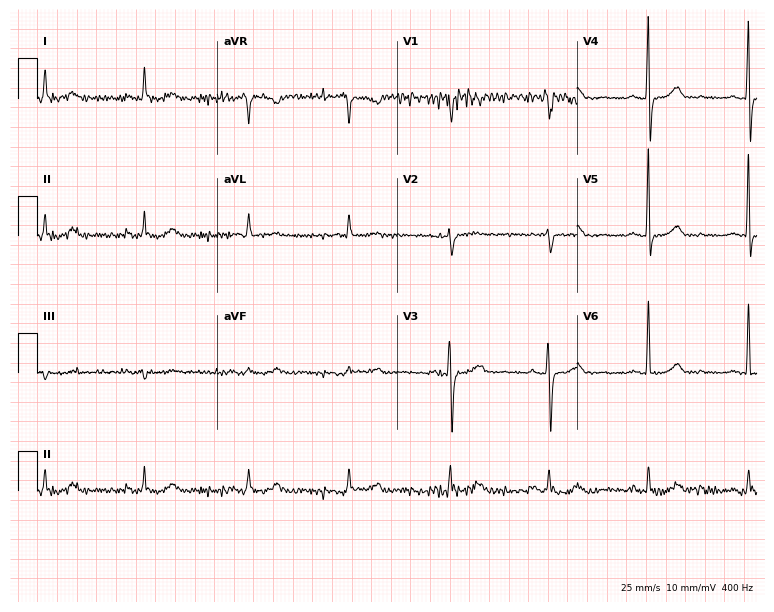
12-lead ECG from a female, 67 years old. Labelled as a normal ECG.